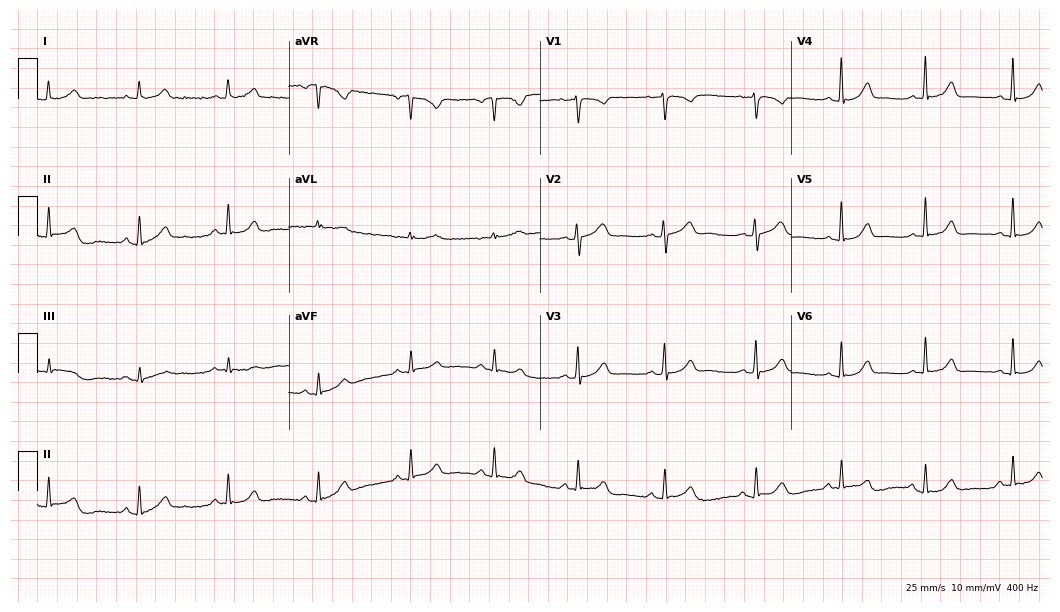
Standard 12-lead ECG recorded from a female, 39 years old (10.2-second recording at 400 Hz). None of these six findings is recorded: first-degree AV block, right bundle branch block, left bundle branch block, sinus bradycardia, atrial fibrillation, sinus tachycardia. Only these six findings were labelled.